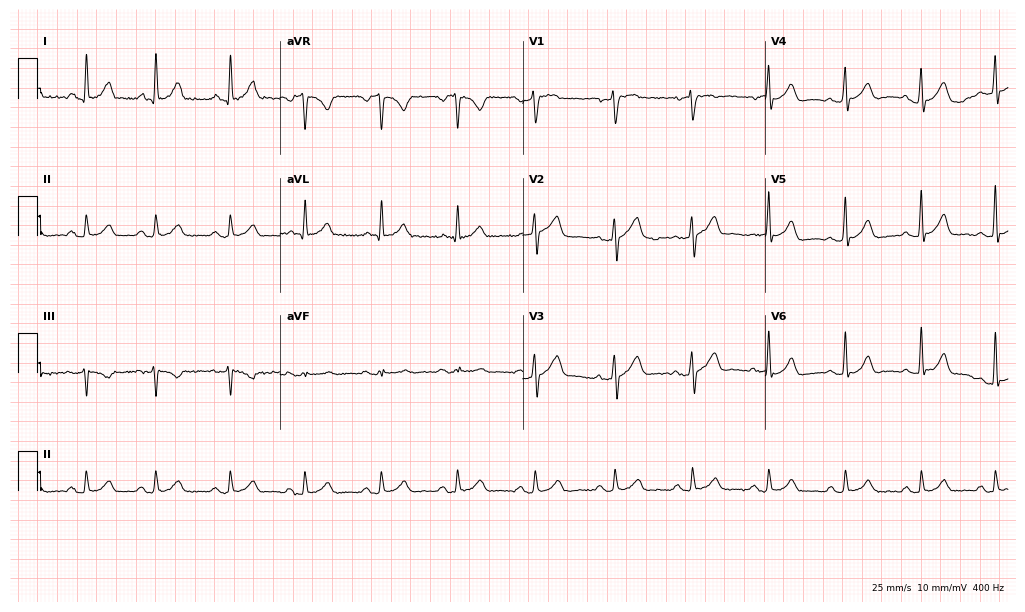
12-lead ECG from a 54-year-old male patient. Labelled as a normal ECG.